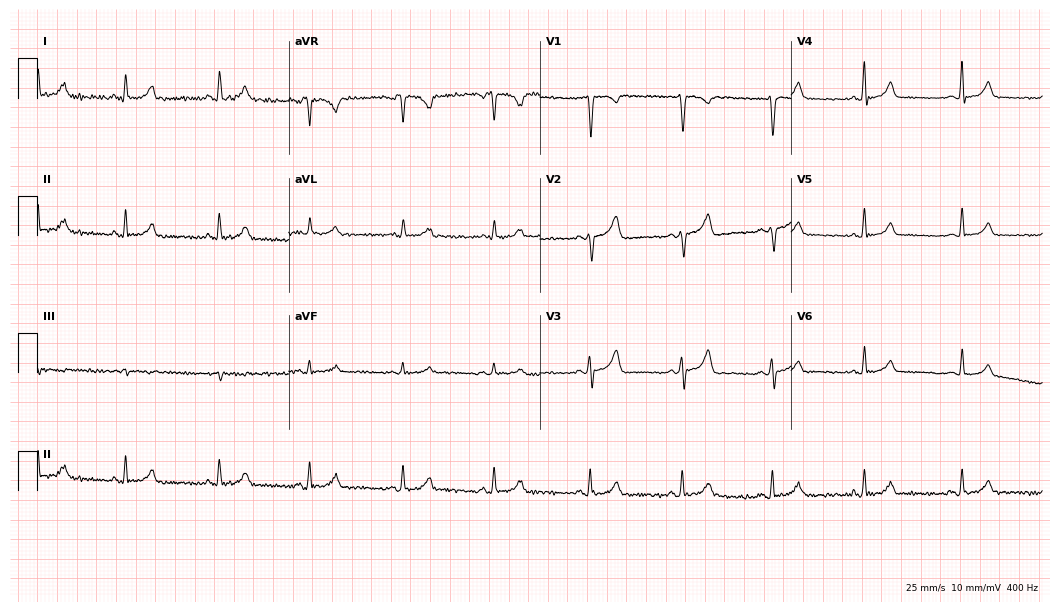
Resting 12-lead electrocardiogram. Patient: a woman, 45 years old. Read as a normal ECG.